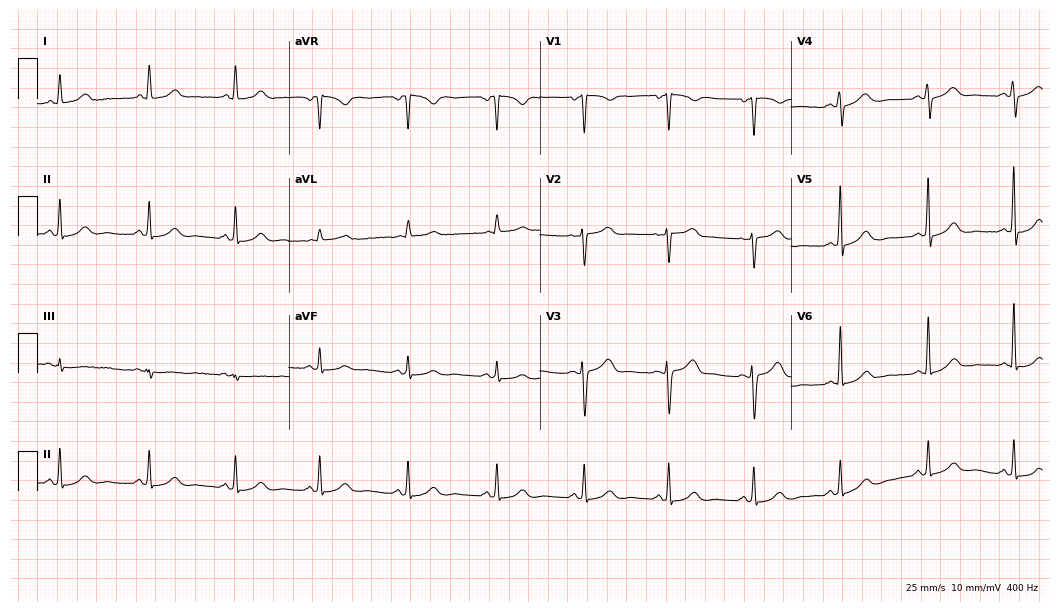
Resting 12-lead electrocardiogram (10.2-second recording at 400 Hz). Patient: a 43-year-old female. Read as a normal ECG.